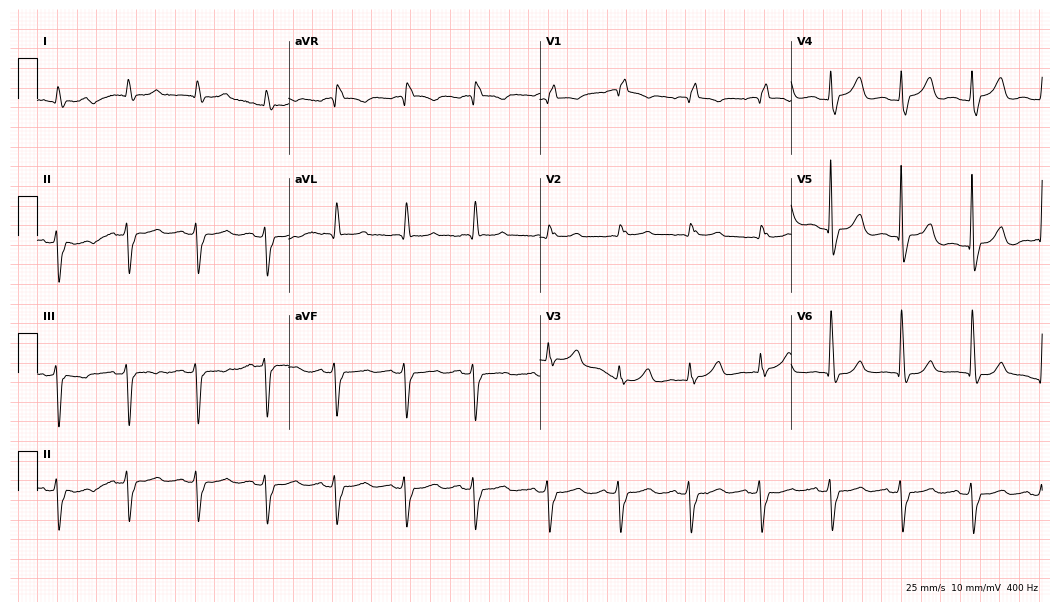
Resting 12-lead electrocardiogram. Patient: an 81-year-old female. The tracing shows right bundle branch block.